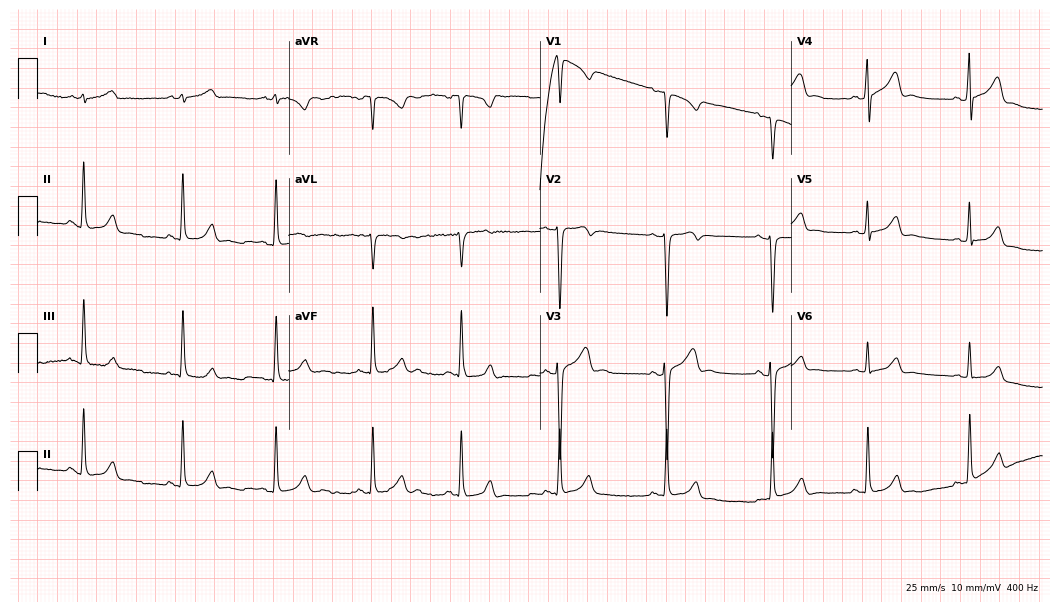
ECG — a 19-year-old man. Screened for six findings — first-degree AV block, right bundle branch block, left bundle branch block, sinus bradycardia, atrial fibrillation, sinus tachycardia — none is recorded.